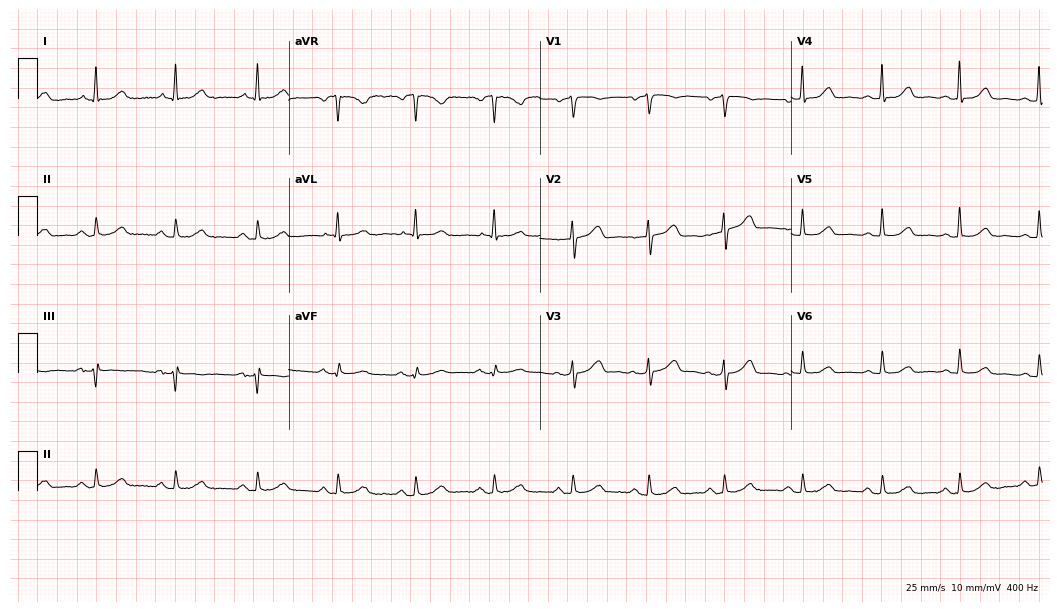
12-lead ECG from a 59-year-old female patient. Labelled as a normal ECG.